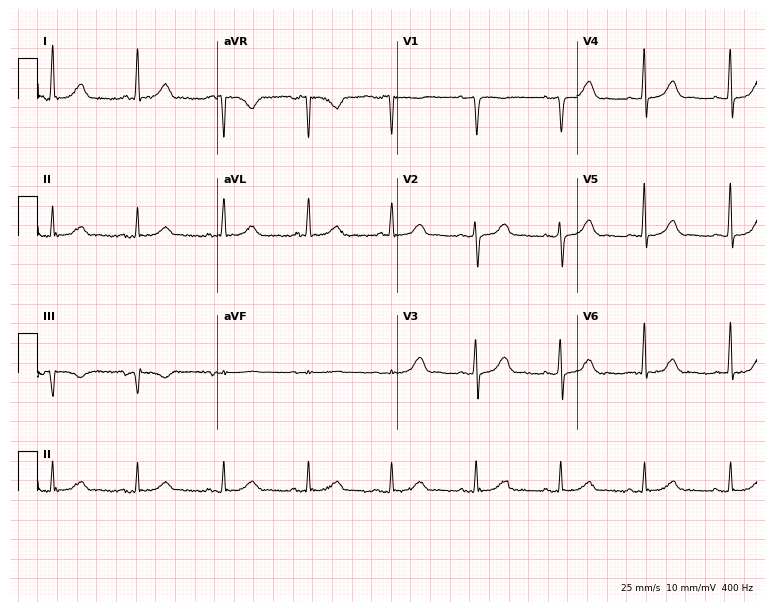
Standard 12-lead ECG recorded from a 59-year-old female patient. None of these six findings is recorded: first-degree AV block, right bundle branch block, left bundle branch block, sinus bradycardia, atrial fibrillation, sinus tachycardia.